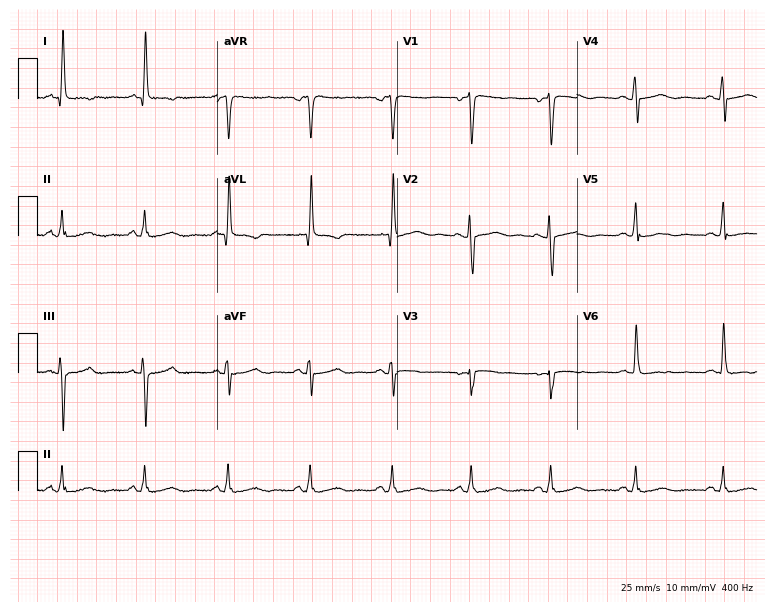
ECG — a 48-year-old female. Screened for six findings — first-degree AV block, right bundle branch block (RBBB), left bundle branch block (LBBB), sinus bradycardia, atrial fibrillation (AF), sinus tachycardia — none is recorded. Findings outside these six are not listed.